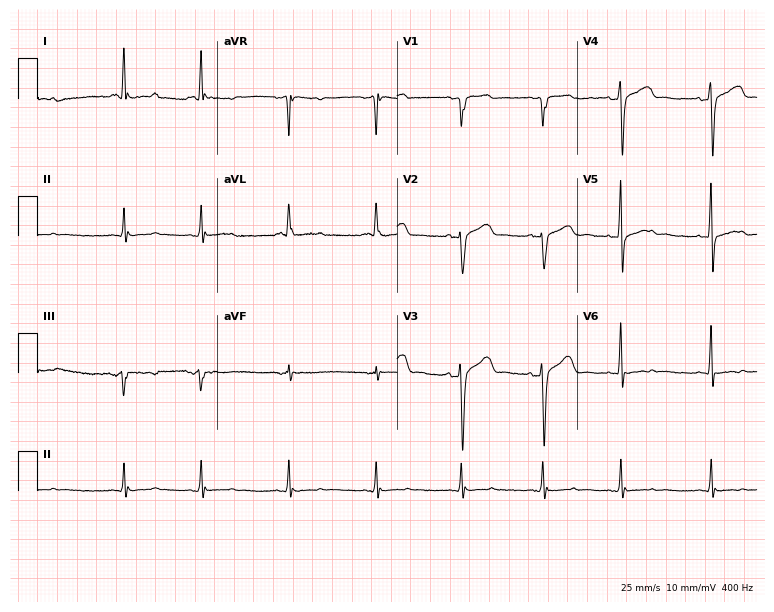
Resting 12-lead electrocardiogram (7.3-second recording at 400 Hz). Patient: a female, 59 years old. None of these six findings is recorded: first-degree AV block, right bundle branch block, left bundle branch block, sinus bradycardia, atrial fibrillation, sinus tachycardia. Only these six findings were labelled.